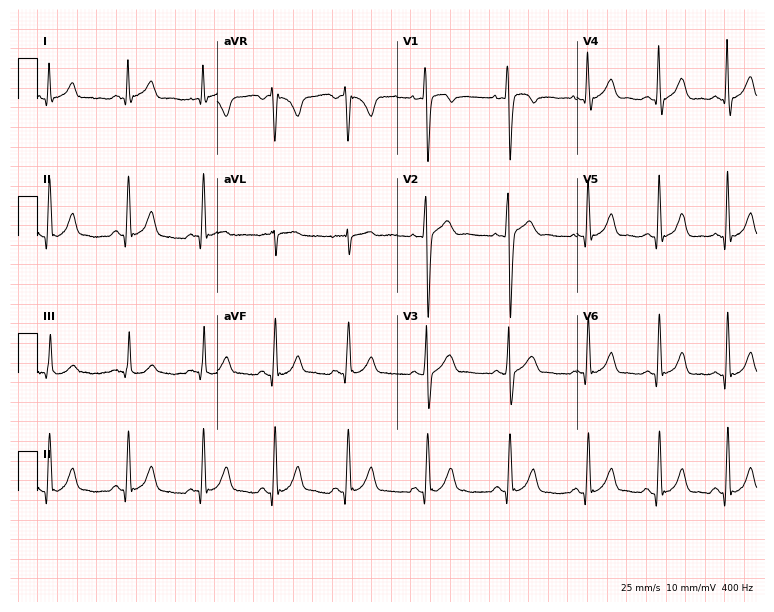
Standard 12-lead ECG recorded from a male, 29 years old (7.3-second recording at 400 Hz). Read as a normal ECG.